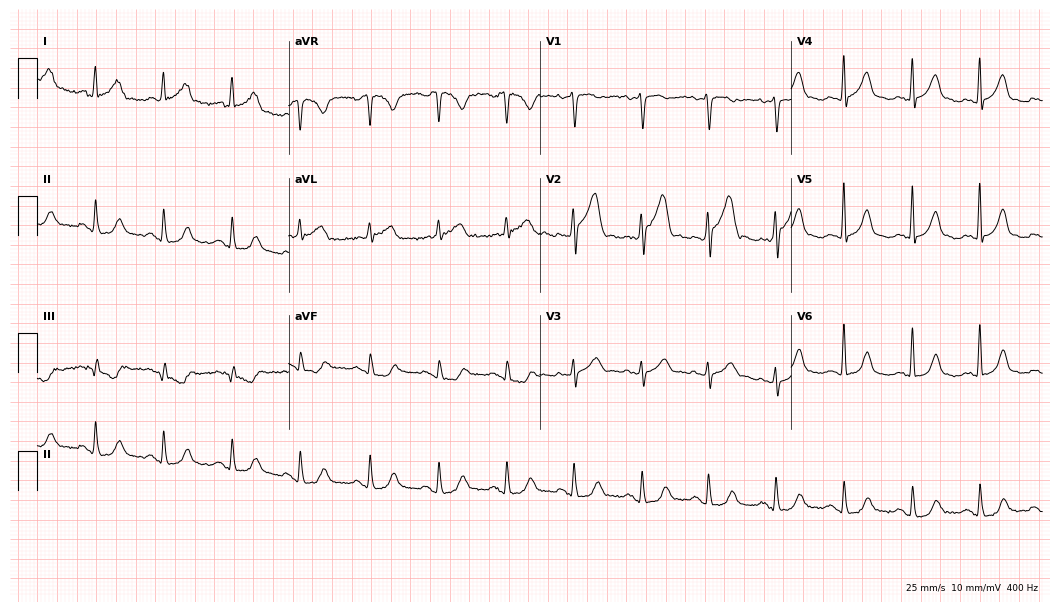
Electrocardiogram (10.2-second recording at 400 Hz), a woman, 81 years old. Overall reading on record: normal ECG.